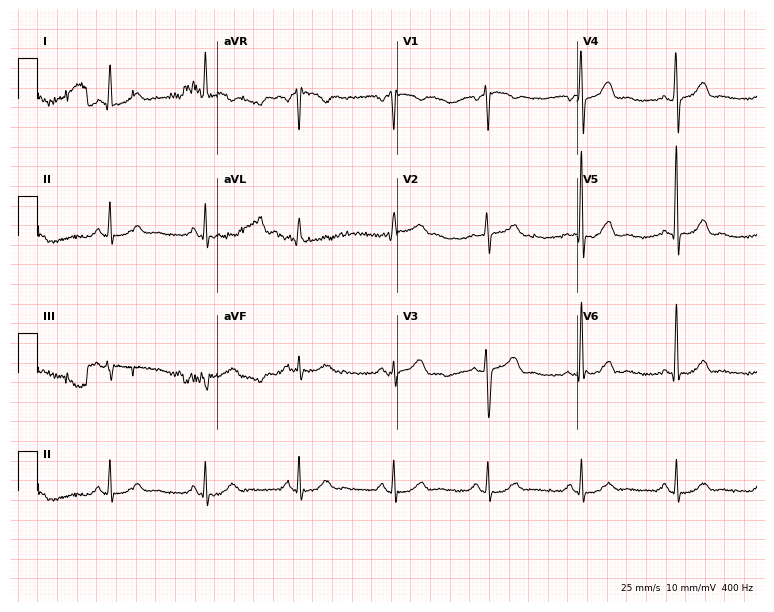
Electrocardiogram (7.3-second recording at 400 Hz), a man, 68 years old. Overall reading on record: normal ECG.